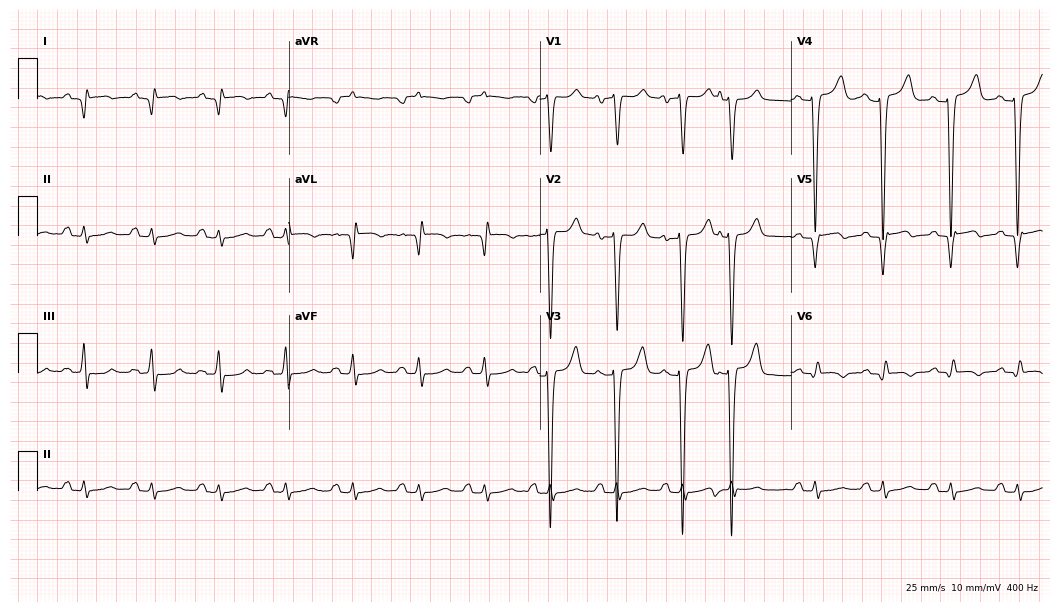
Standard 12-lead ECG recorded from a 52-year-old man. Read as a normal ECG.